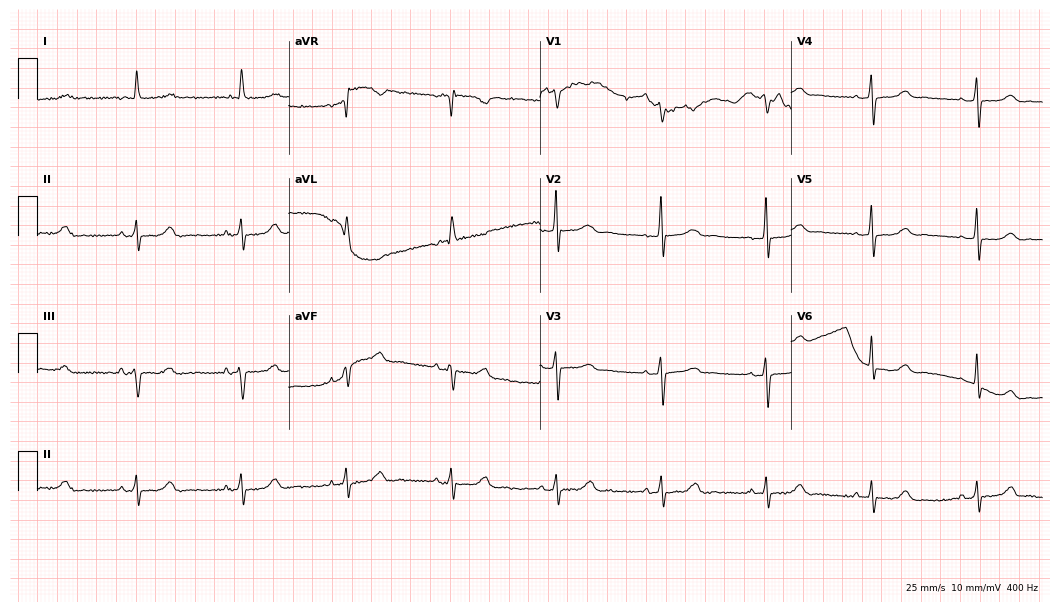
Resting 12-lead electrocardiogram (10.2-second recording at 400 Hz). Patient: an 82-year-old female. None of these six findings is recorded: first-degree AV block, right bundle branch block, left bundle branch block, sinus bradycardia, atrial fibrillation, sinus tachycardia. Findings outside these six are not listed.